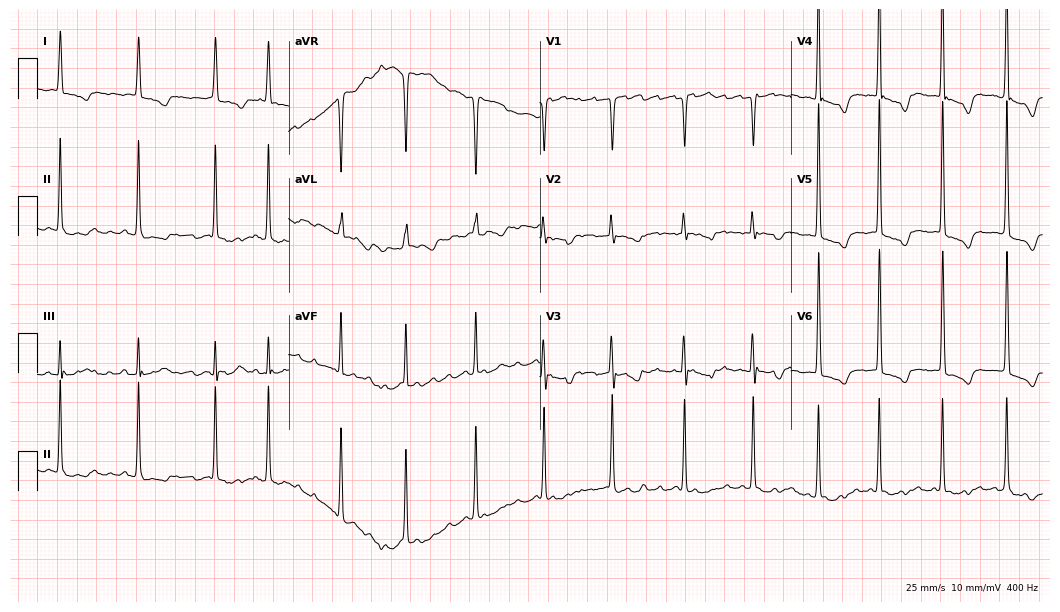
Electrocardiogram, a woman, 71 years old. Interpretation includes atrial fibrillation (AF).